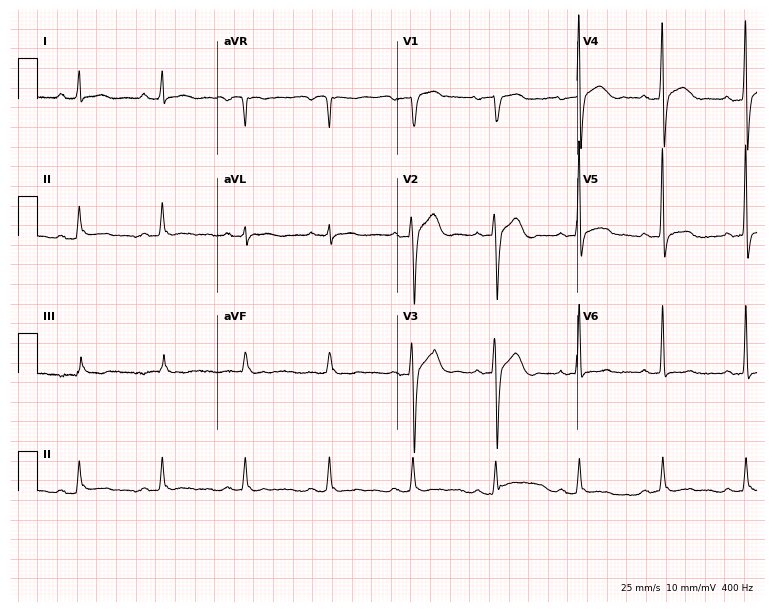
ECG (7.3-second recording at 400 Hz) — a woman, 43 years old. Screened for six findings — first-degree AV block, right bundle branch block (RBBB), left bundle branch block (LBBB), sinus bradycardia, atrial fibrillation (AF), sinus tachycardia — none is recorded.